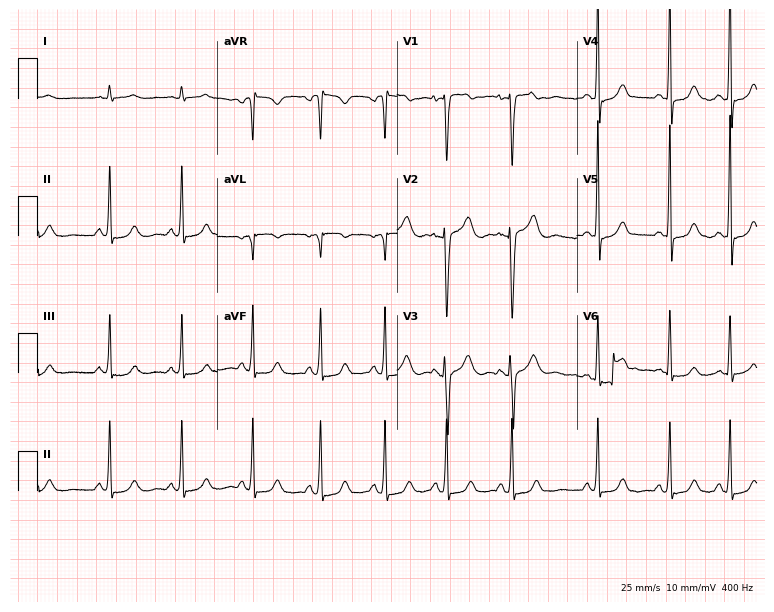
12-lead ECG (7.3-second recording at 400 Hz) from a female patient, 26 years old. Labelled as a normal ECG.